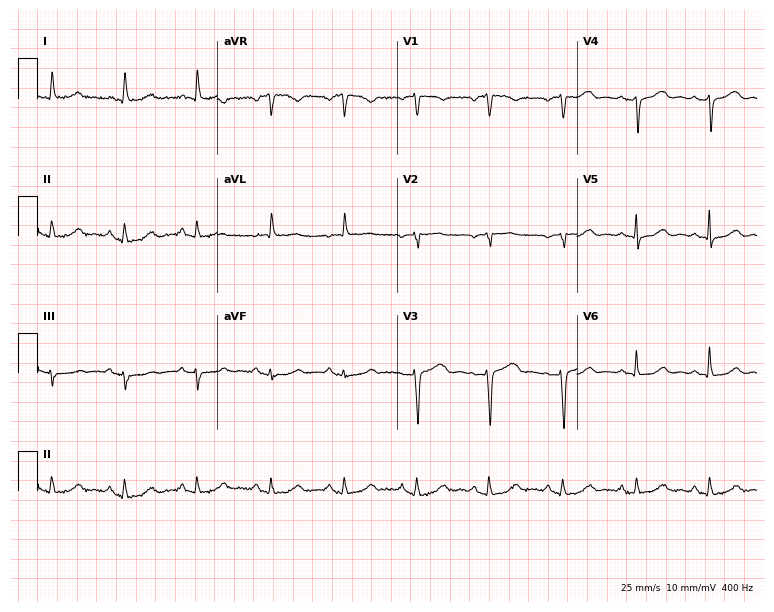
Electrocardiogram (7.3-second recording at 400 Hz), a female patient, 74 years old. Of the six screened findings (first-degree AV block, right bundle branch block, left bundle branch block, sinus bradycardia, atrial fibrillation, sinus tachycardia), none is recorded. Only these six findings were labelled.